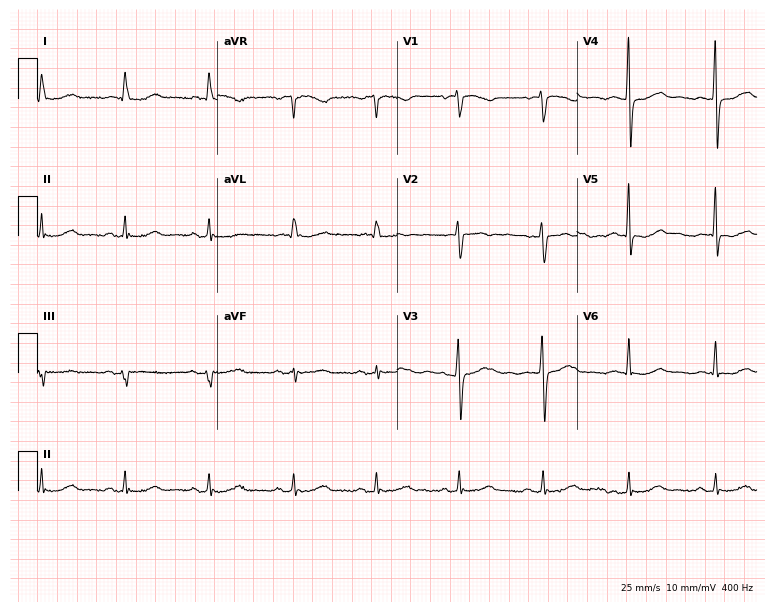
12-lead ECG from a female patient, 73 years old (7.3-second recording at 400 Hz). Recorded interpretation: within normal limits.